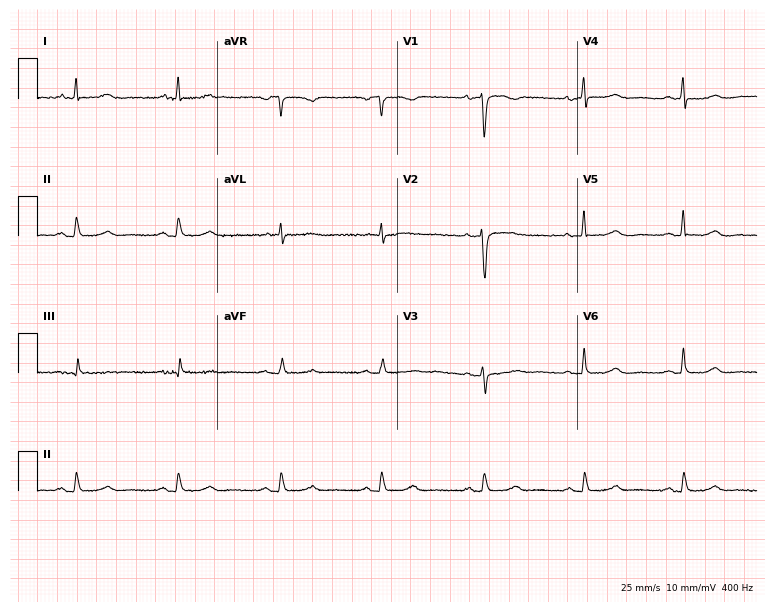
ECG — a 70-year-old woman. Labelled as a normal ECG.